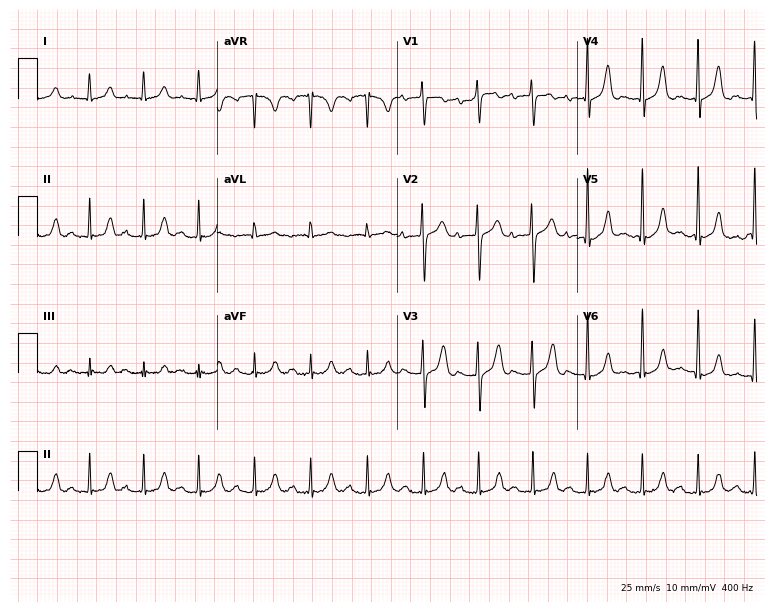
Electrocardiogram (7.3-second recording at 400 Hz), a 78-year-old female. Interpretation includes sinus tachycardia (a sinus rate of 100 beats per minute or more).